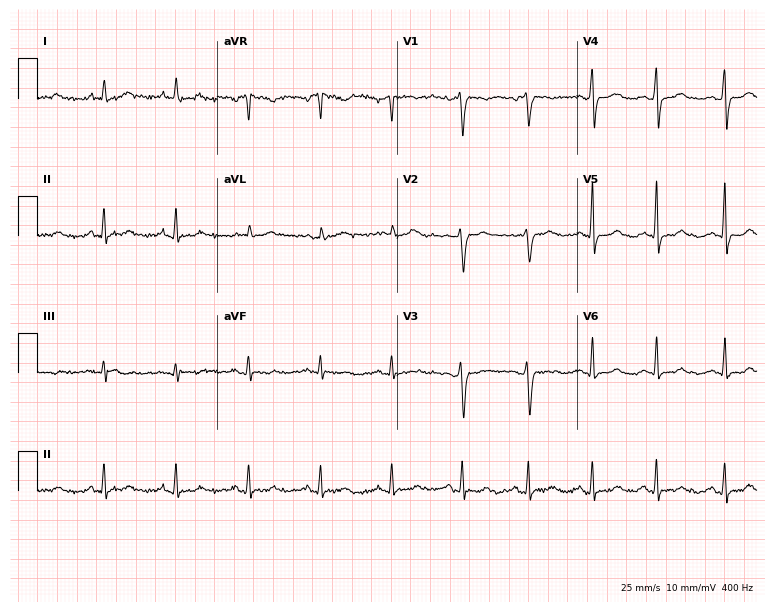
Electrocardiogram, a woman, 50 years old. Overall reading on record: normal ECG.